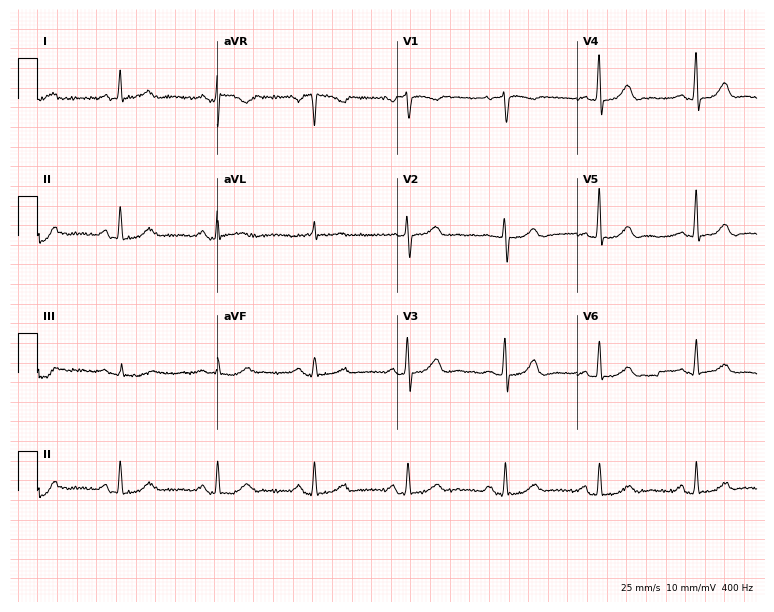
Electrocardiogram, a female, 59 years old. Overall reading on record: normal ECG.